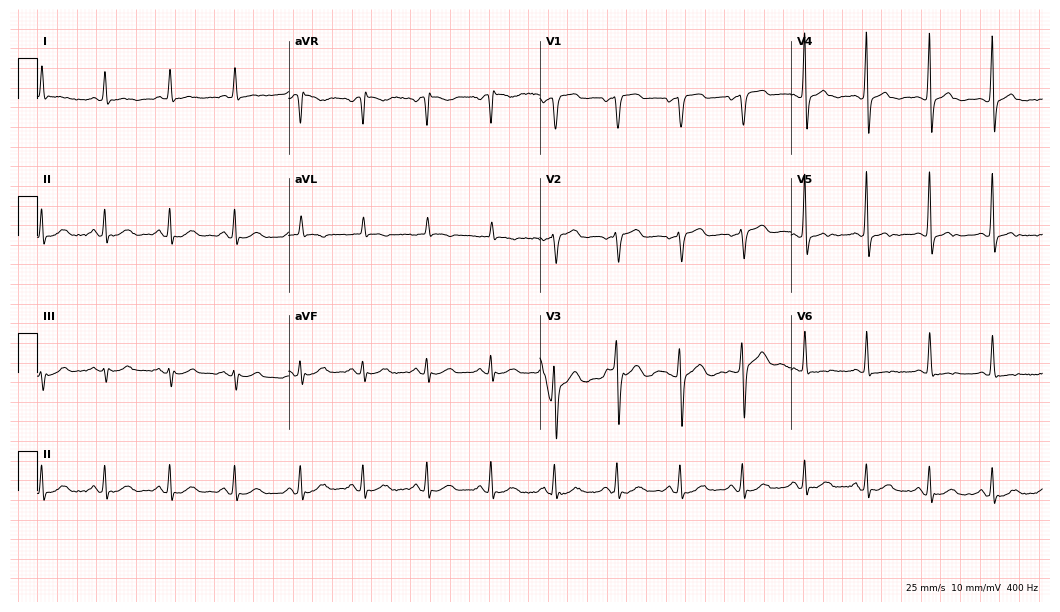
12-lead ECG from an 83-year-old female patient. Screened for six findings — first-degree AV block, right bundle branch block (RBBB), left bundle branch block (LBBB), sinus bradycardia, atrial fibrillation (AF), sinus tachycardia — none is recorded.